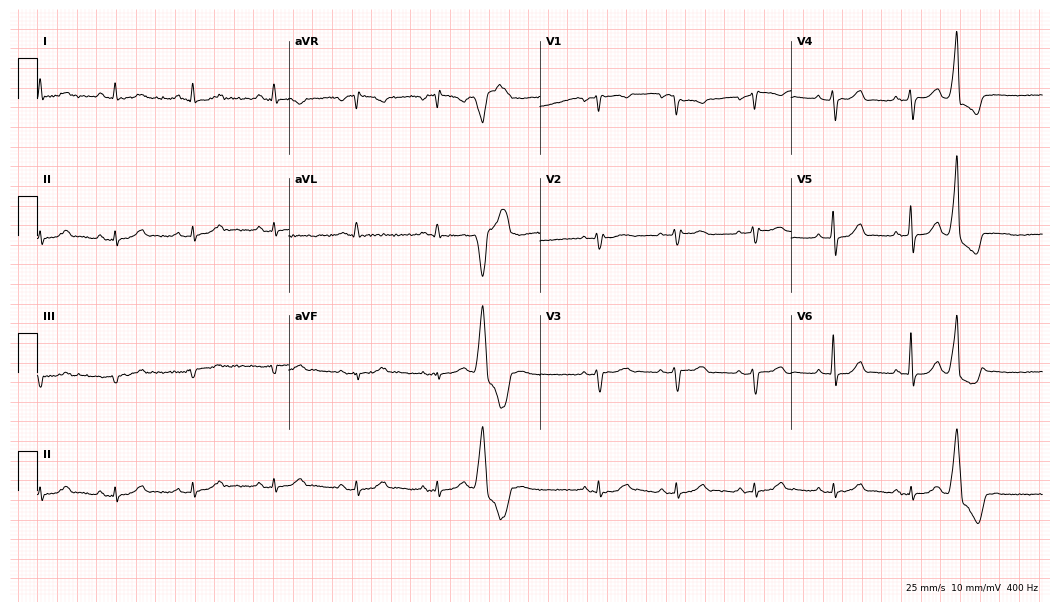
Electrocardiogram (10.2-second recording at 400 Hz), a 59-year-old female patient. Of the six screened findings (first-degree AV block, right bundle branch block (RBBB), left bundle branch block (LBBB), sinus bradycardia, atrial fibrillation (AF), sinus tachycardia), none is recorded.